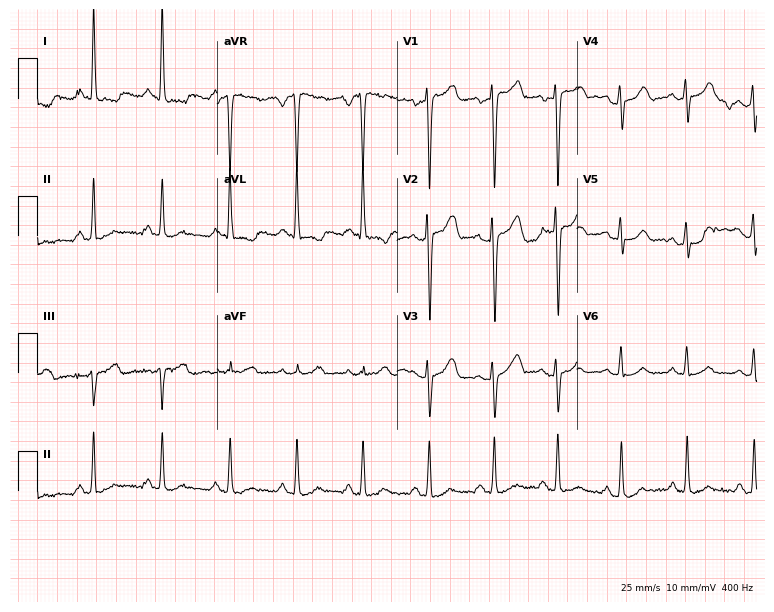
Standard 12-lead ECG recorded from a 34-year-old female patient. Read as a normal ECG.